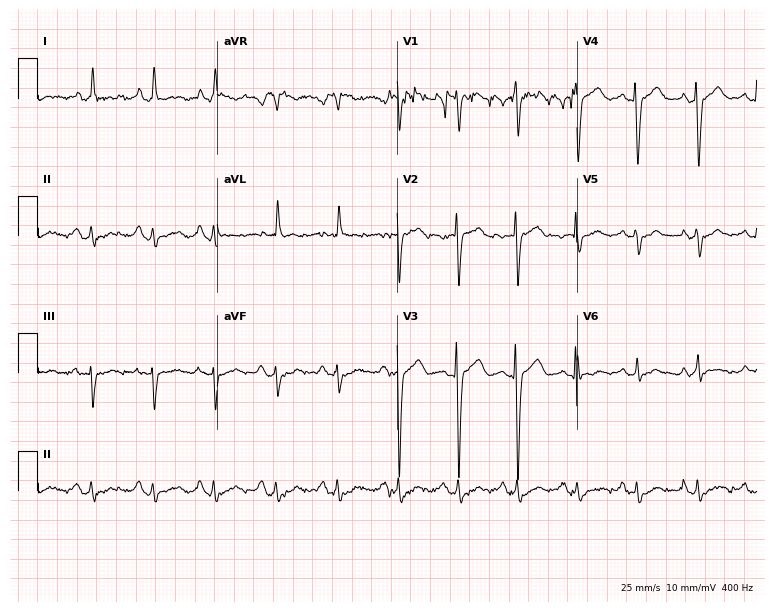
Electrocardiogram (7.3-second recording at 400 Hz), a female patient, 58 years old. Of the six screened findings (first-degree AV block, right bundle branch block, left bundle branch block, sinus bradycardia, atrial fibrillation, sinus tachycardia), none is recorded.